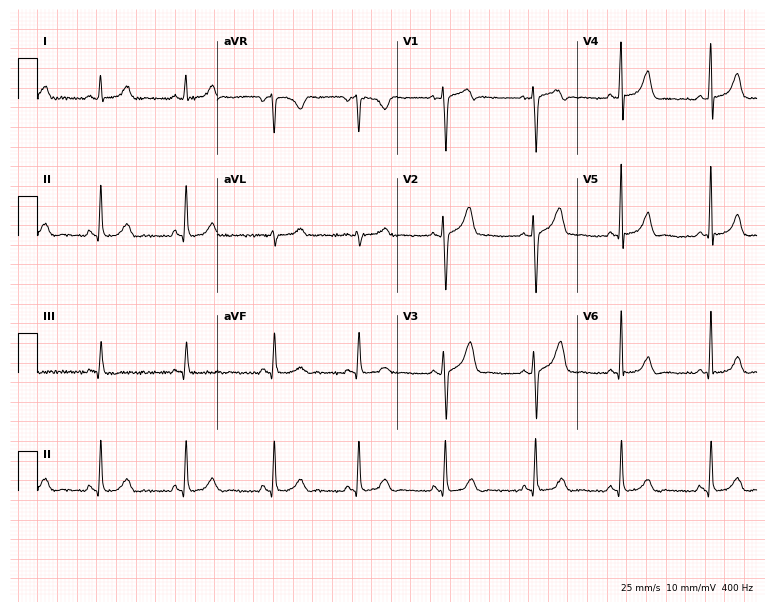
Resting 12-lead electrocardiogram (7.3-second recording at 400 Hz). Patient: a female, 45 years old. None of these six findings is recorded: first-degree AV block, right bundle branch block (RBBB), left bundle branch block (LBBB), sinus bradycardia, atrial fibrillation (AF), sinus tachycardia.